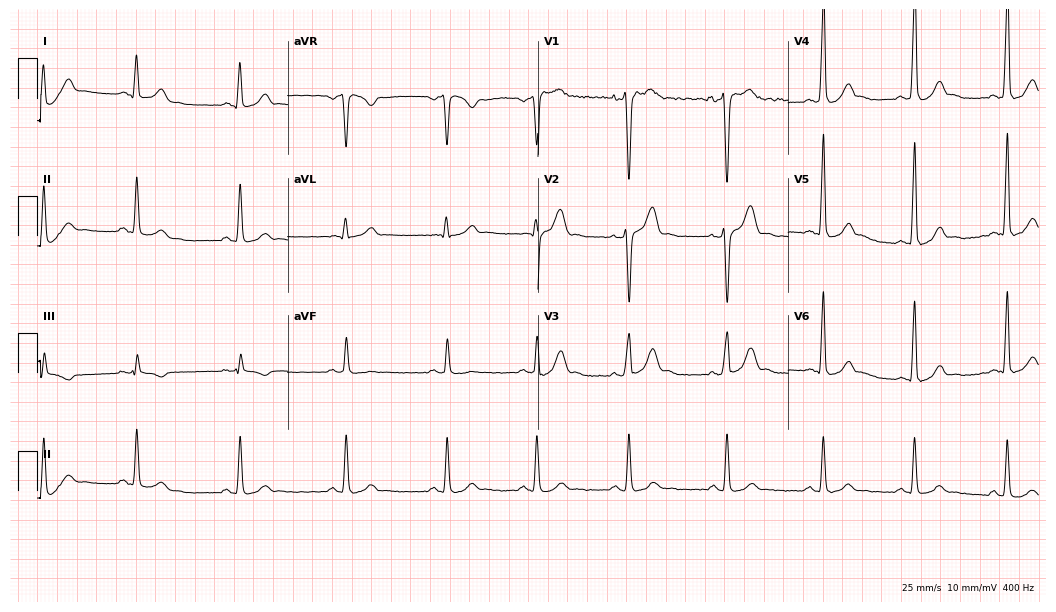
Resting 12-lead electrocardiogram. Patient: a man, 30 years old. None of these six findings is recorded: first-degree AV block, right bundle branch block (RBBB), left bundle branch block (LBBB), sinus bradycardia, atrial fibrillation (AF), sinus tachycardia. Other findings, if any, are not listed.